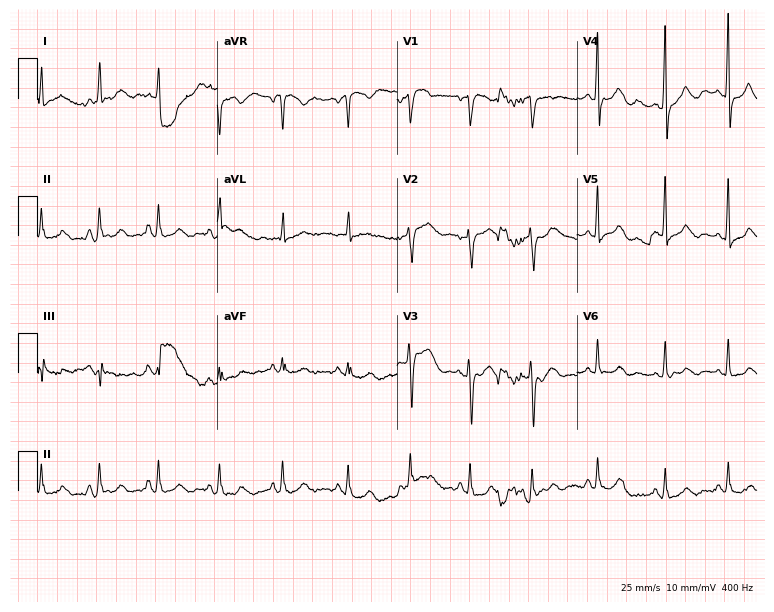
ECG (7.3-second recording at 400 Hz) — a woman, 73 years old. Screened for six findings — first-degree AV block, right bundle branch block, left bundle branch block, sinus bradycardia, atrial fibrillation, sinus tachycardia — none is recorded. Other findings, if any, are not listed.